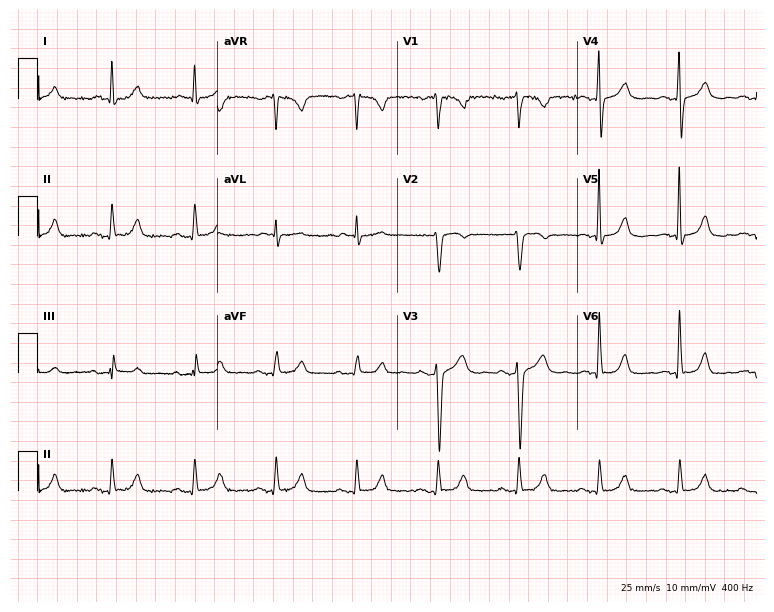
Standard 12-lead ECG recorded from a 77-year-old male patient (7.3-second recording at 400 Hz). None of these six findings is recorded: first-degree AV block, right bundle branch block (RBBB), left bundle branch block (LBBB), sinus bradycardia, atrial fibrillation (AF), sinus tachycardia.